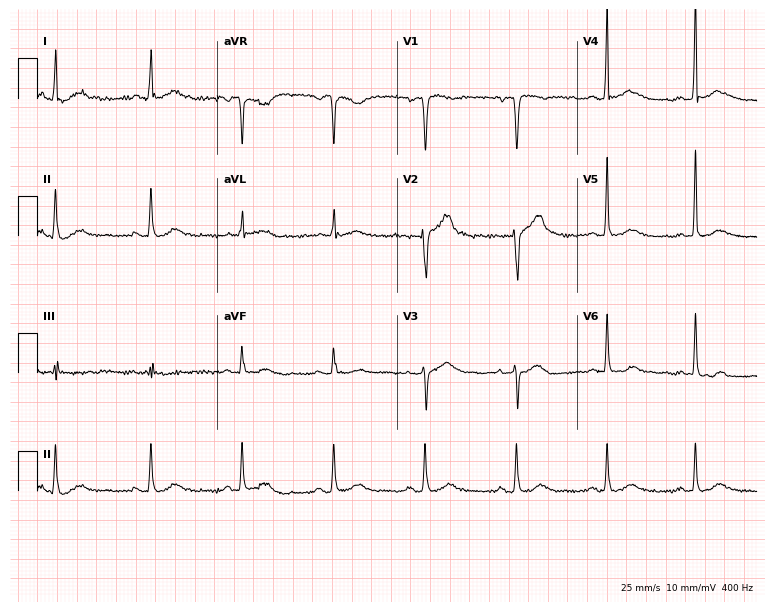
Resting 12-lead electrocardiogram (7.3-second recording at 400 Hz). Patient: a male, 57 years old. Read as a normal ECG.